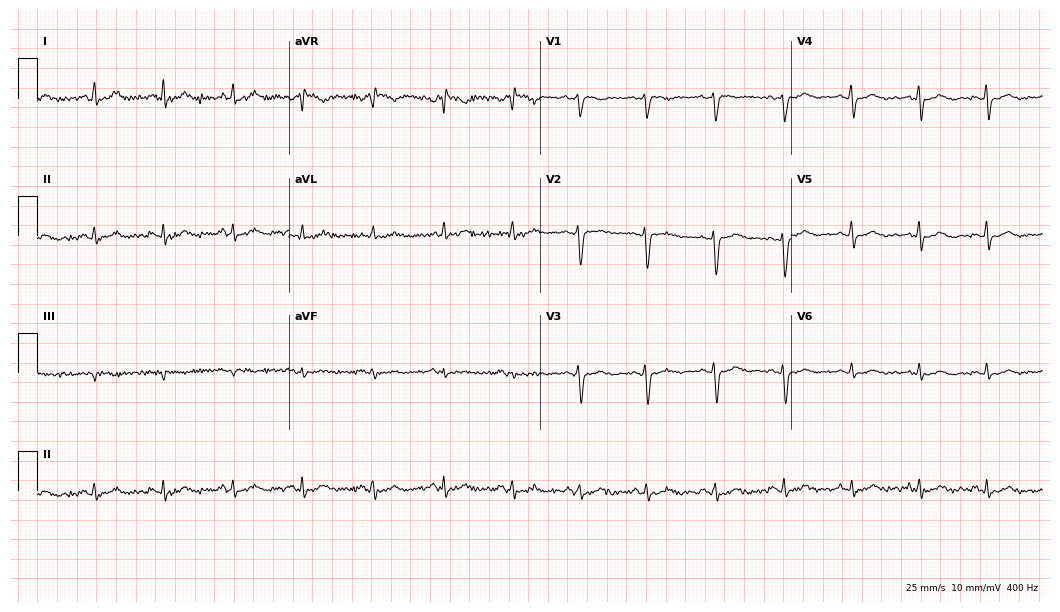
Standard 12-lead ECG recorded from a woman, 55 years old. Read as a normal ECG.